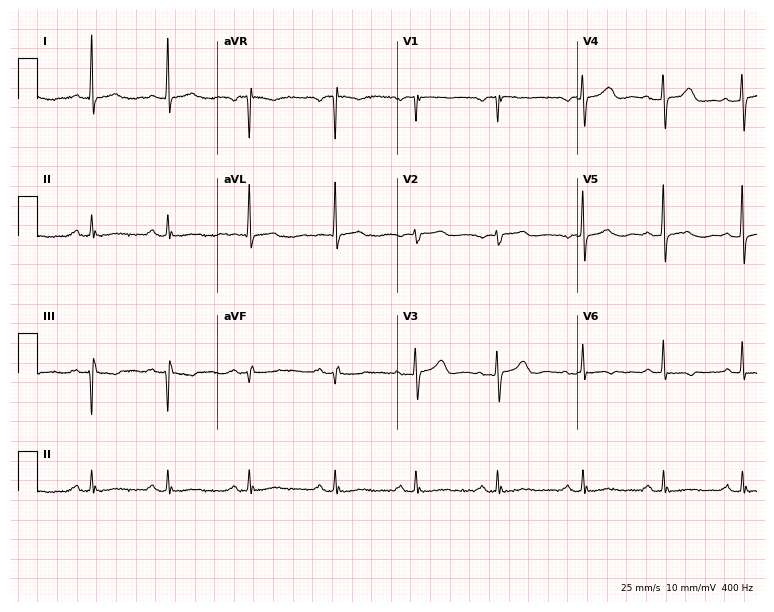
ECG — a 62-year-old female. Screened for six findings — first-degree AV block, right bundle branch block, left bundle branch block, sinus bradycardia, atrial fibrillation, sinus tachycardia — none is recorded. Findings outside these six are not listed.